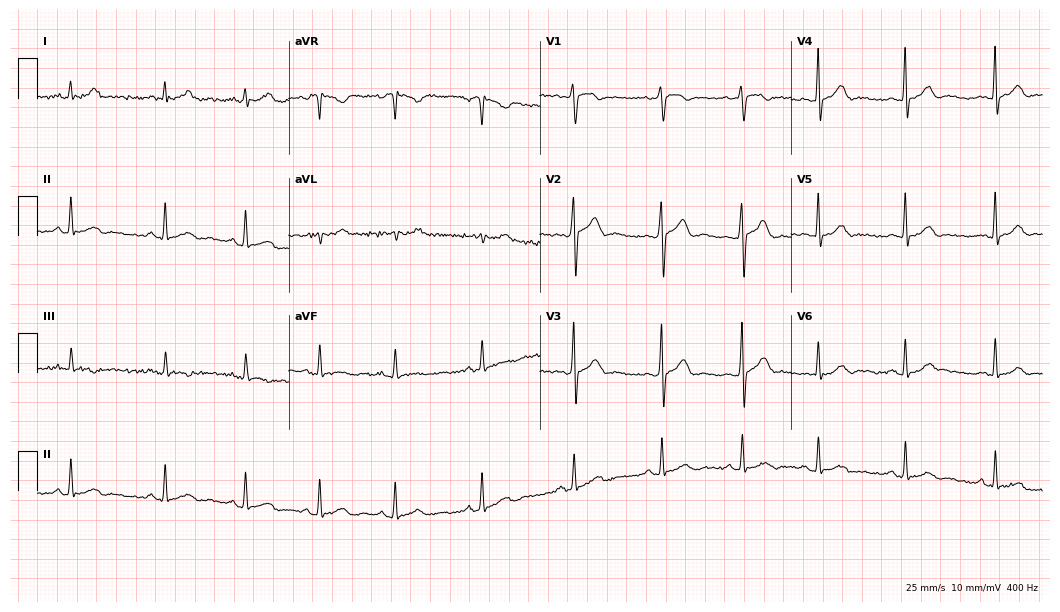
12-lead ECG from a 21-year-old man. Screened for six findings — first-degree AV block, right bundle branch block (RBBB), left bundle branch block (LBBB), sinus bradycardia, atrial fibrillation (AF), sinus tachycardia — none is recorded. Only these six findings were labelled.